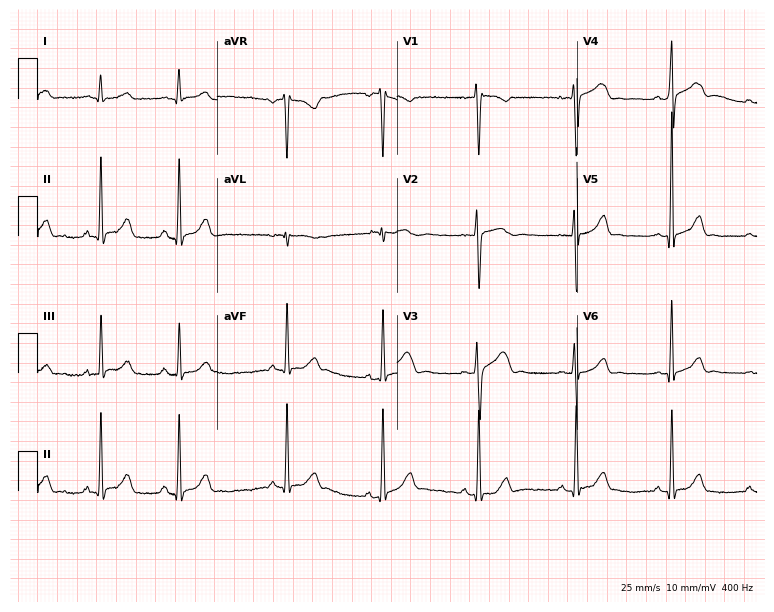
Electrocardiogram, a male, 18 years old. Of the six screened findings (first-degree AV block, right bundle branch block, left bundle branch block, sinus bradycardia, atrial fibrillation, sinus tachycardia), none is recorded. Only these six findings were labelled.